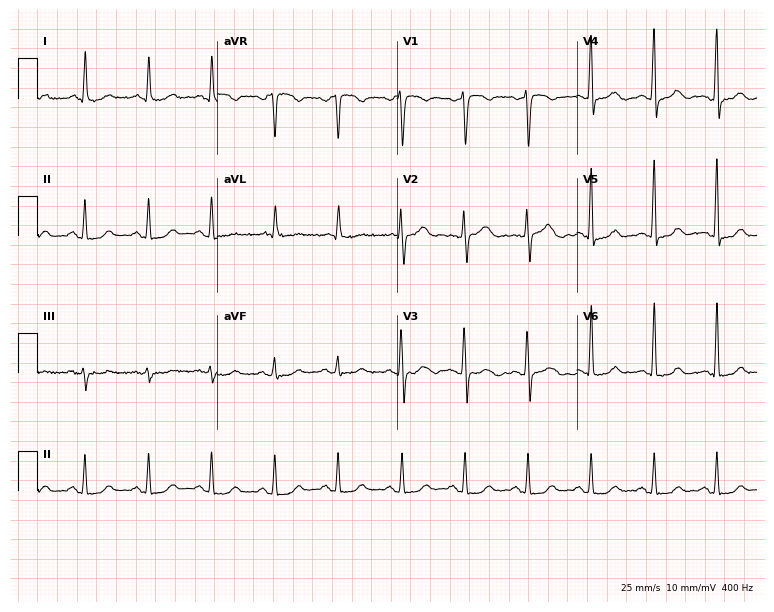
Standard 12-lead ECG recorded from a 61-year-old female patient (7.3-second recording at 400 Hz). Read as a normal ECG.